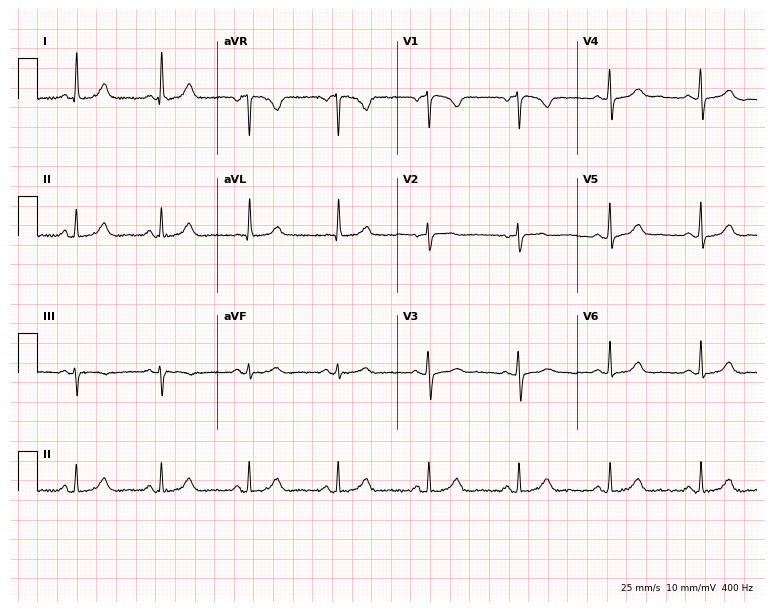
12-lead ECG from a 55-year-old female. Labelled as a normal ECG.